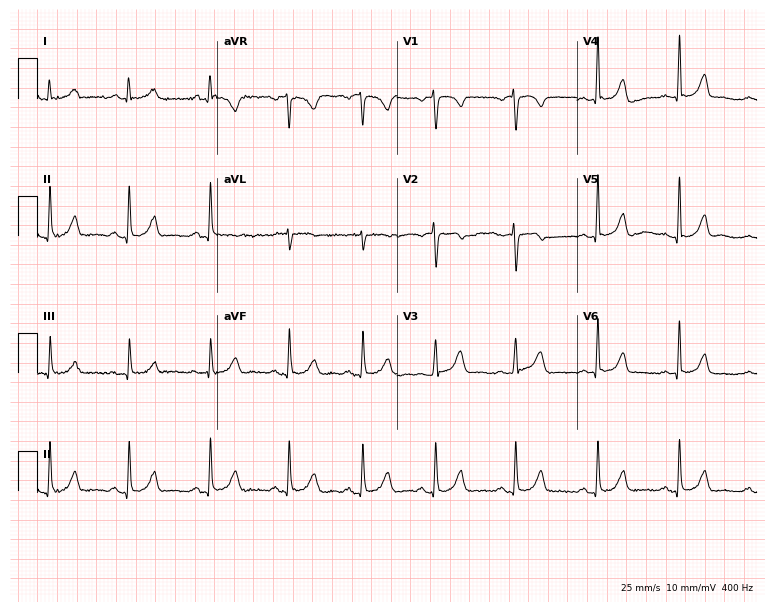
12-lead ECG from a woman, 80 years old (7.3-second recording at 400 Hz). Recorded interpretation: within normal limits.